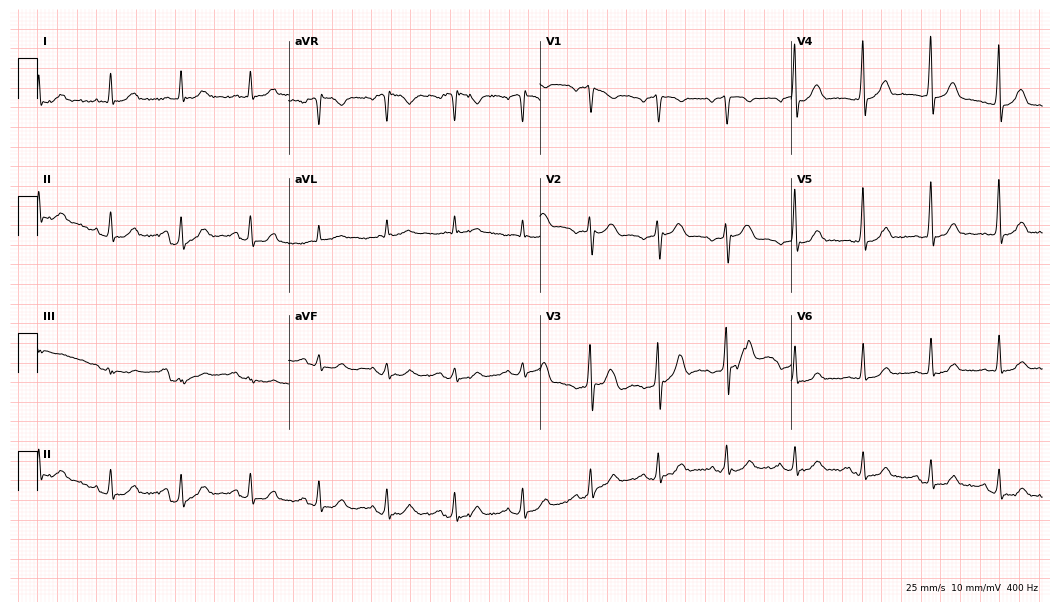
Resting 12-lead electrocardiogram. Patient: a 46-year-old male. Read as a normal ECG.